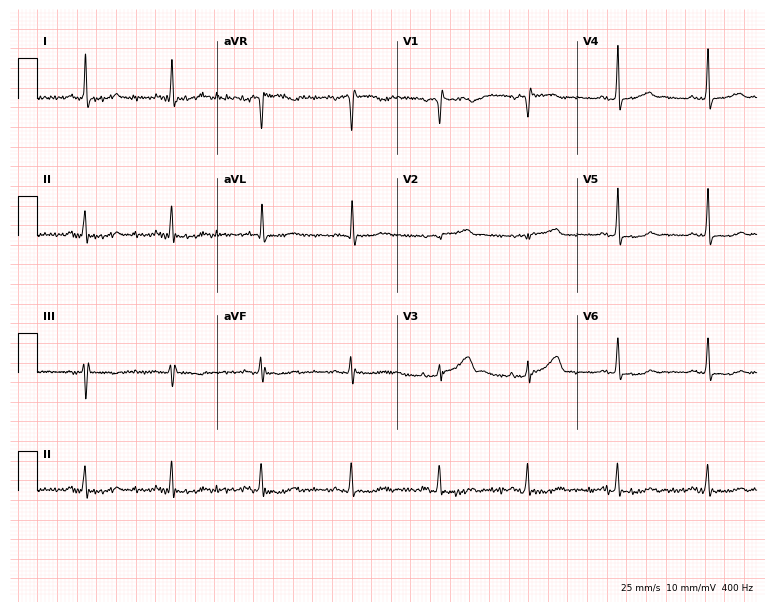
Electrocardiogram (7.3-second recording at 400 Hz), a woman, 65 years old. Of the six screened findings (first-degree AV block, right bundle branch block, left bundle branch block, sinus bradycardia, atrial fibrillation, sinus tachycardia), none is recorded. Only these six findings were labelled.